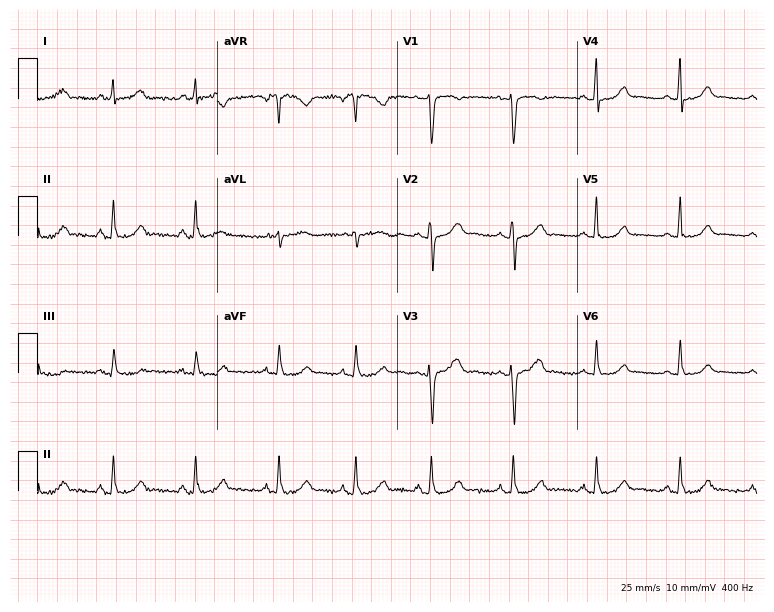
Standard 12-lead ECG recorded from a female, 23 years old (7.3-second recording at 400 Hz). Read as a normal ECG.